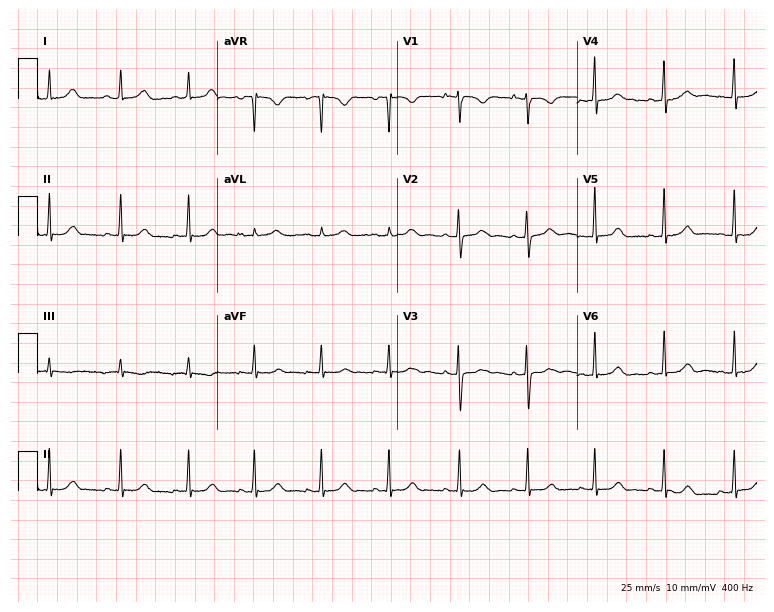
ECG (7.3-second recording at 400 Hz) — a female, 22 years old. Labelled as a normal ECG.